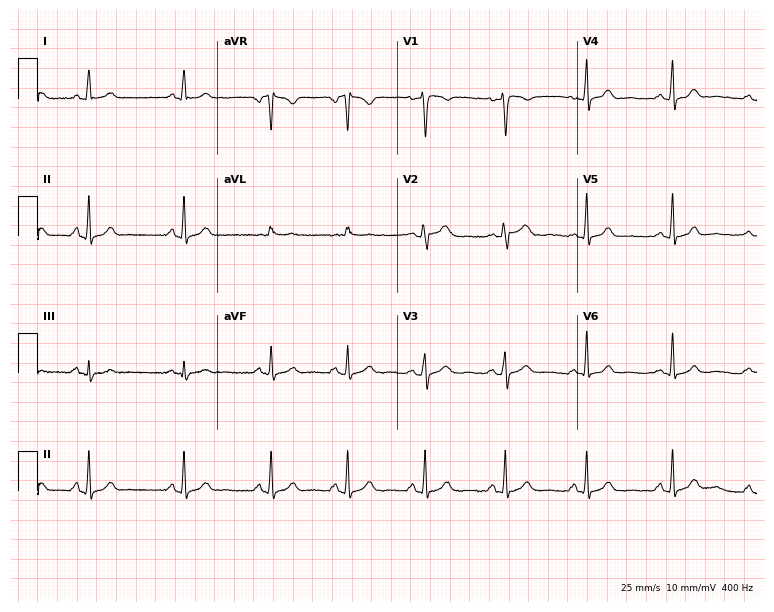
12-lead ECG from a 28-year-old female. Screened for six findings — first-degree AV block, right bundle branch block, left bundle branch block, sinus bradycardia, atrial fibrillation, sinus tachycardia — none is recorded. Findings outside these six are not listed.